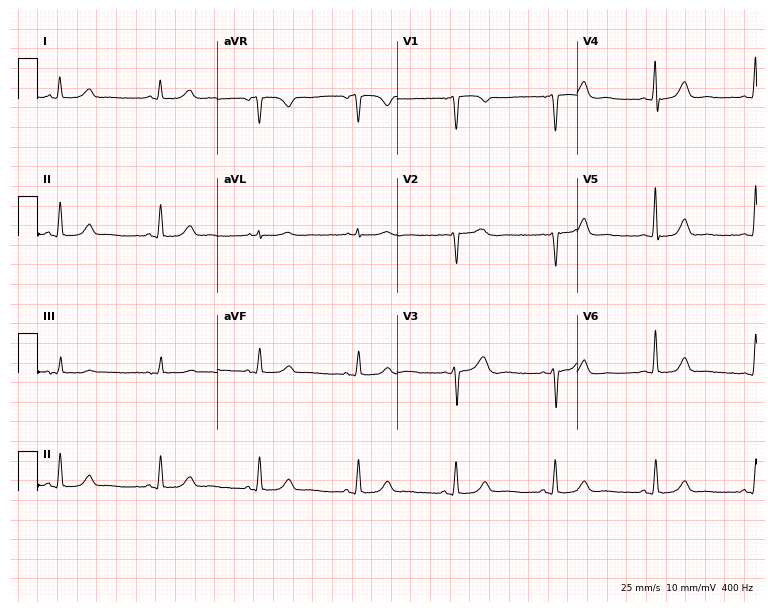
Standard 12-lead ECG recorded from a 56-year-old female patient. None of these six findings is recorded: first-degree AV block, right bundle branch block, left bundle branch block, sinus bradycardia, atrial fibrillation, sinus tachycardia. Only these six findings were labelled.